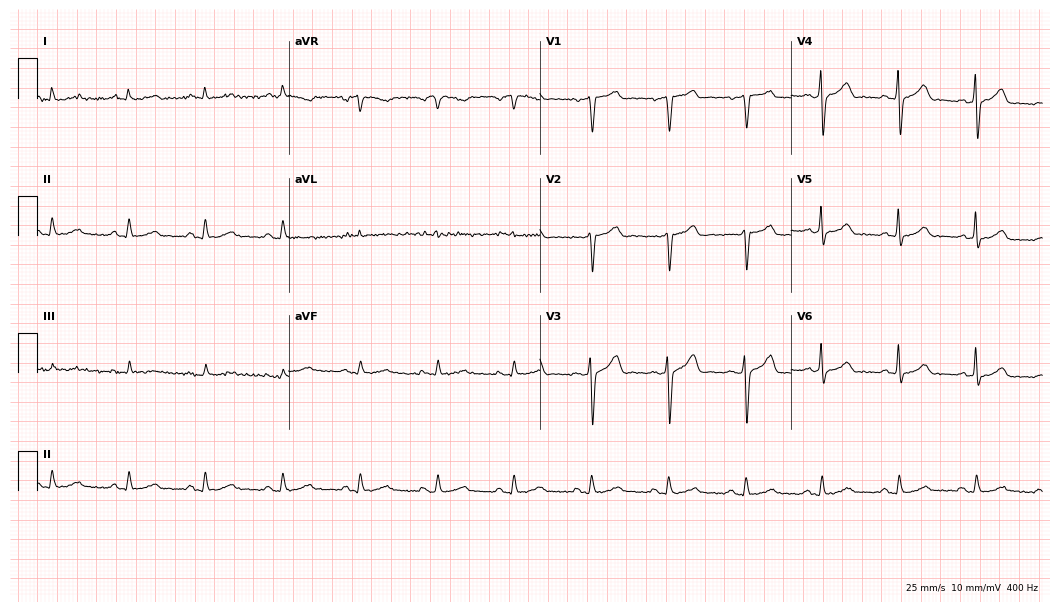
Electrocardiogram, a man, 71 years old. Overall reading on record: normal ECG.